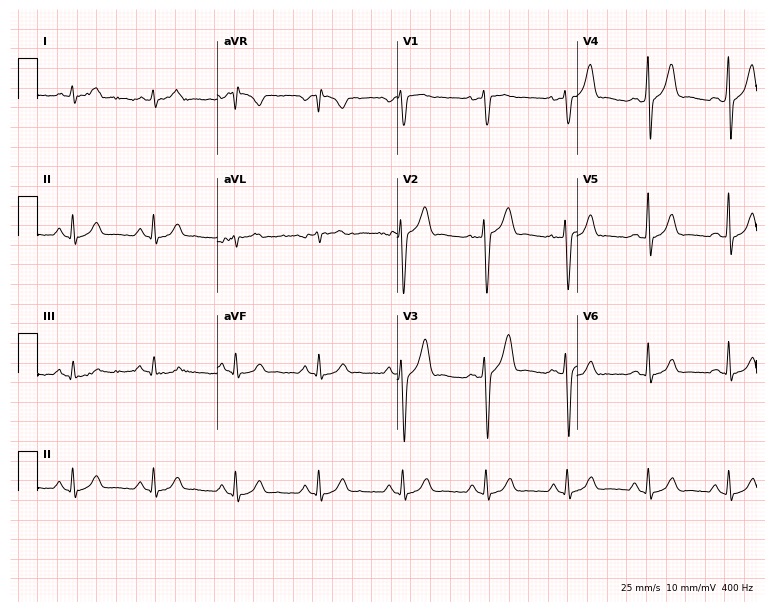
12-lead ECG from a male patient, 48 years old (7.3-second recording at 400 Hz). No first-degree AV block, right bundle branch block, left bundle branch block, sinus bradycardia, atrial fibrillation or sinus tachycardia recorded for this tracing. Other findings, if any, are not listed.